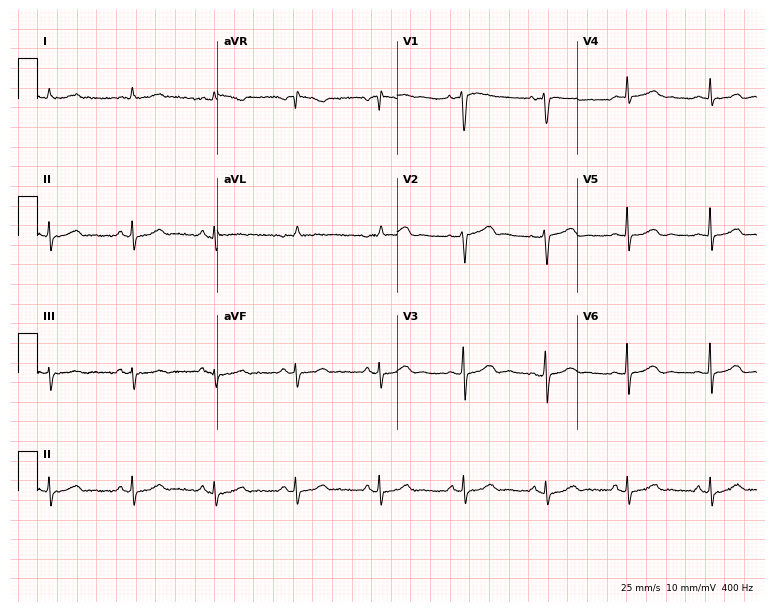
Resting 12-lead electrocardiogram (7.3-second recording at 400 Hz). Patient: a female, 55 years old. None of these six findings is recorded: first-degree AV block, right bundle branch block, left bundle branch block, sinus bradycardia, atrial fibrillation, sinus tachycardia.